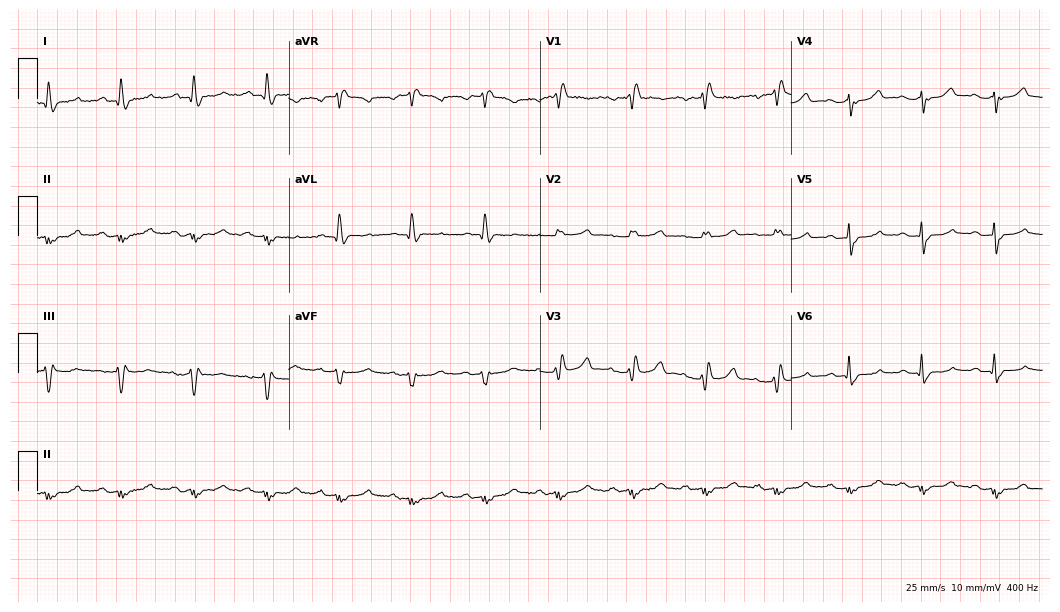
12-lead ECG from a woman, 63 years old. No first-degree AV block, right bundle branch block, left bundle branch block, sinus bradycardia, atrial fibrillation or sinus tachycardia recorded for this tracing. Findings outside these six are not listed.